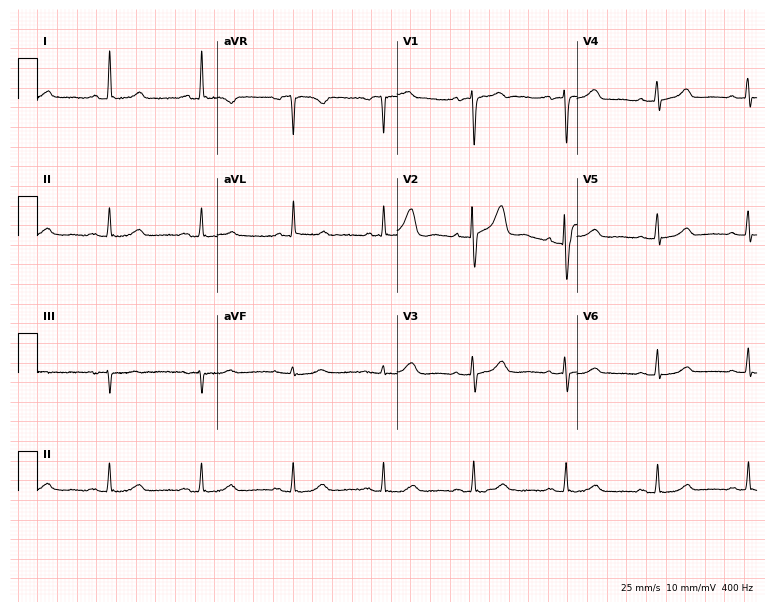
12-lead ECG from a 55-year-old female. Recorded interpretation: within normal limits.